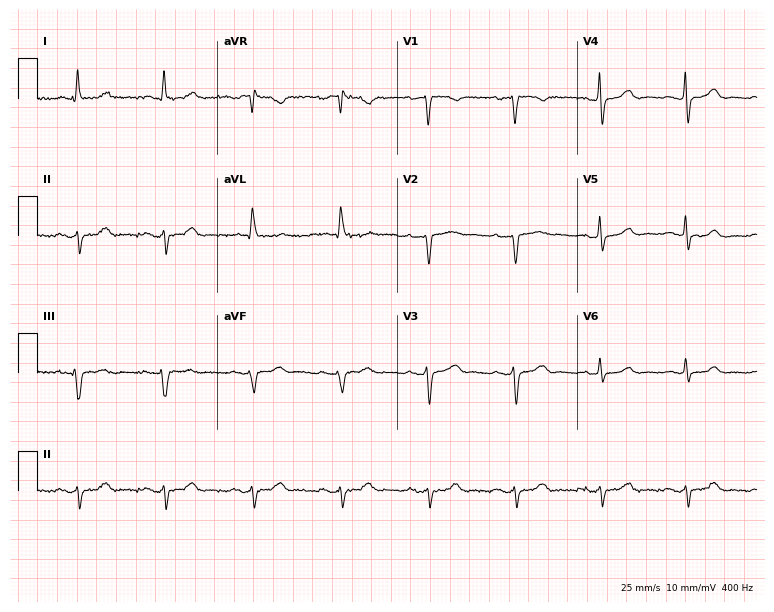
12-lead ECG (7.3-second recording at 400 Hz) from an 83-year-old female. Labelled as a normal ECG.